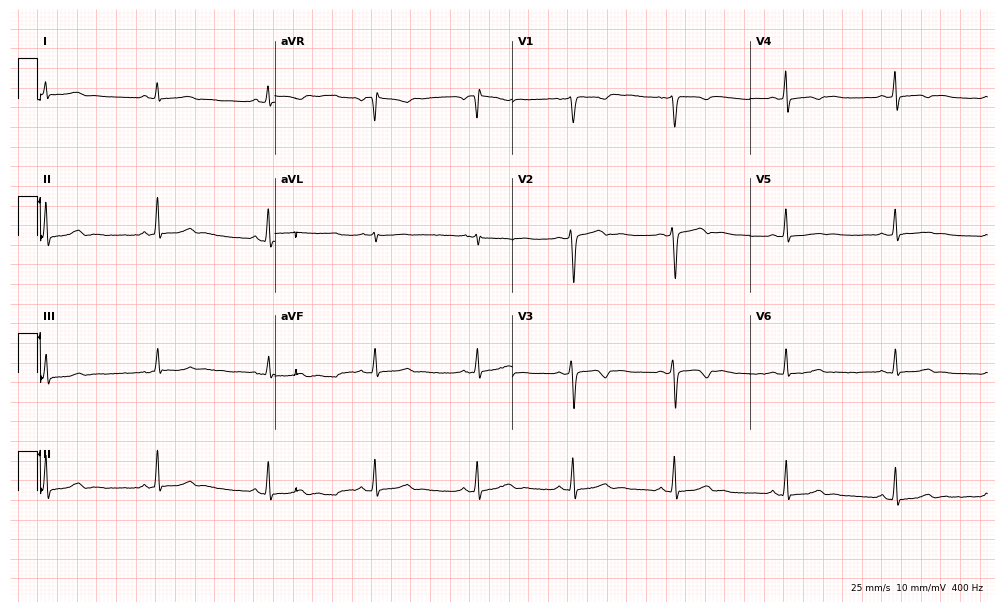
ECG (9.7-second recording at 400 Hz) — a female, 27 years old. Screened for six findings — first-degree AV block, right bundle branch block, left bundle branch block, sinus bradycardia, atrial fibrillation, sinus tachycardia — none is recorded. Other findings, if any, are not listed.